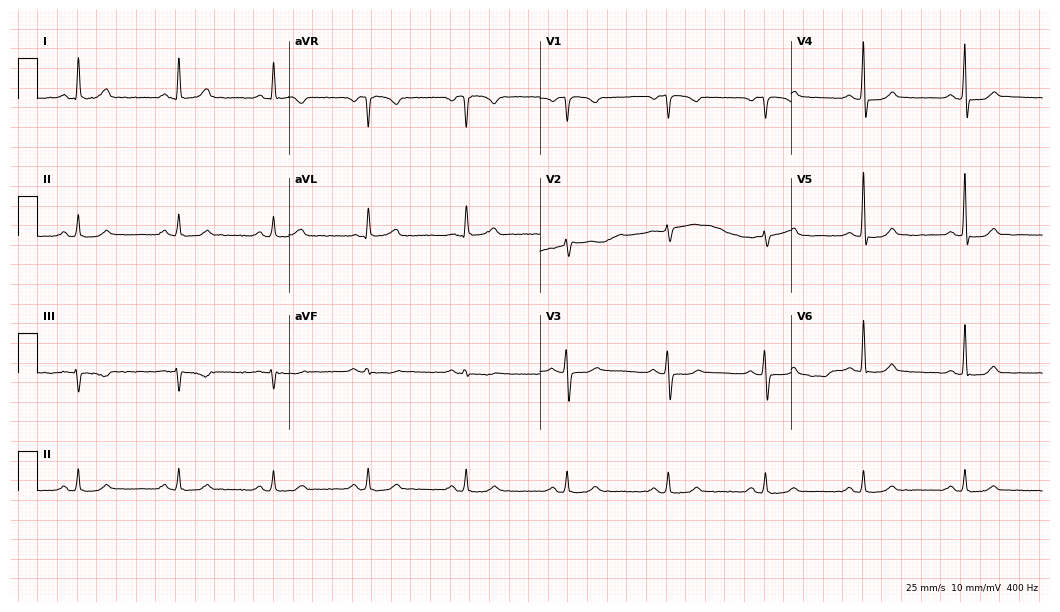
Standard 12-lead ECG recorded from a 65-year-old female patient. None of these six findings is recorded: first-degree AV block, right bundle branch block, left bundle branch block, sinus bradycardia, atrial fibrillation, sinus tachycardia. Only these six findings were labelled.